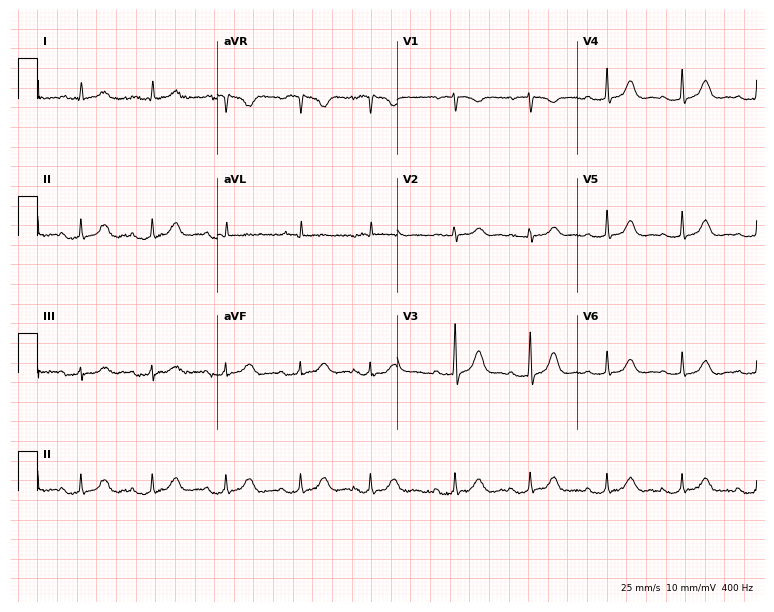
12-lead ECG from a female, 71 years old. Recorded interpretation: within normal limits.